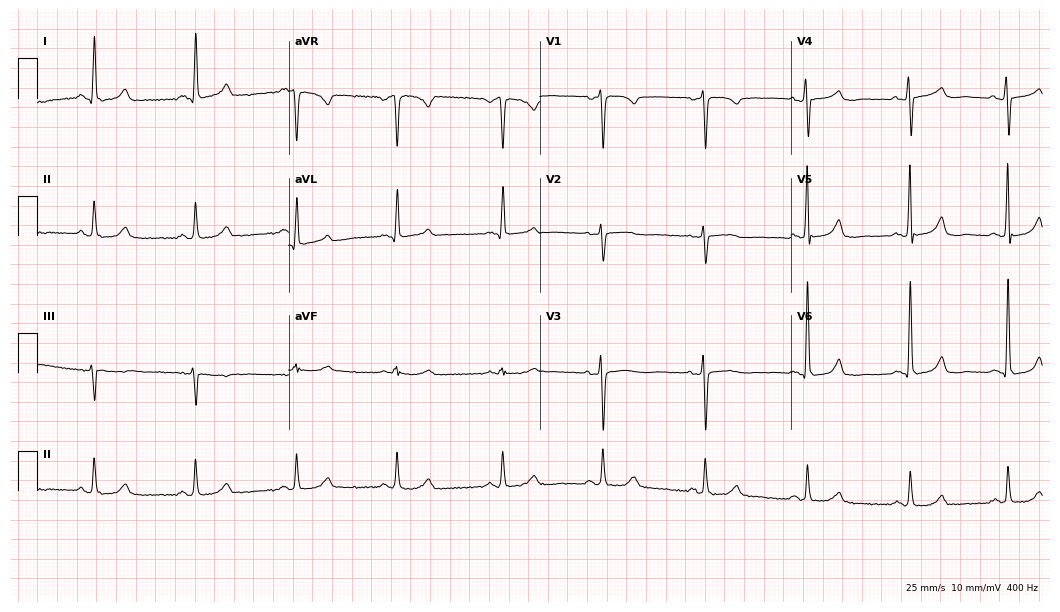
ECG — a 68-year-old female. Labelled as a normal ECG.